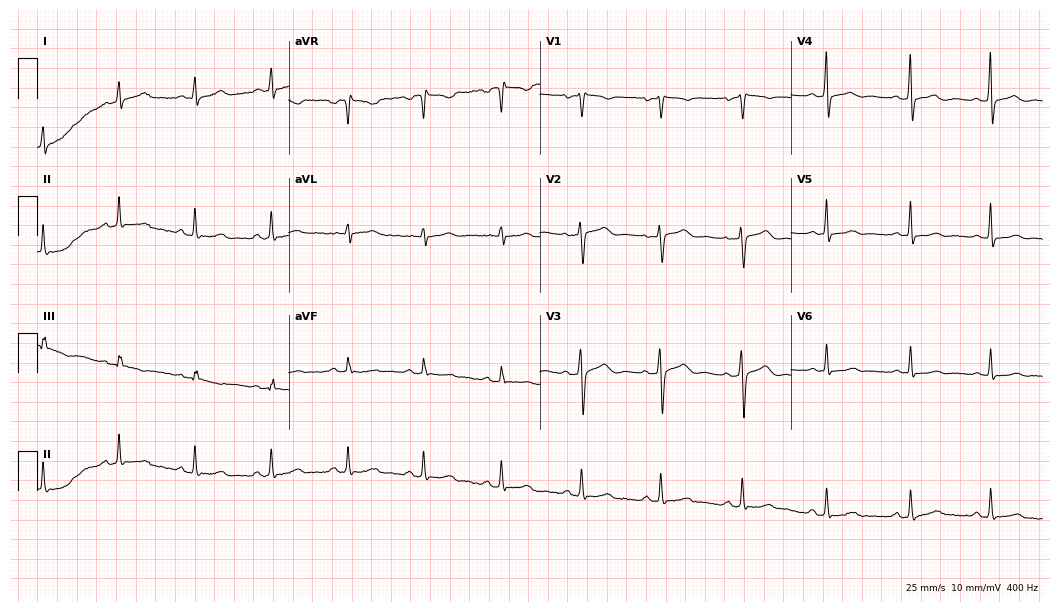
Resting 12-lead electrocardiogram. Patient: a female, 39 years old. Read as a normal ECG.